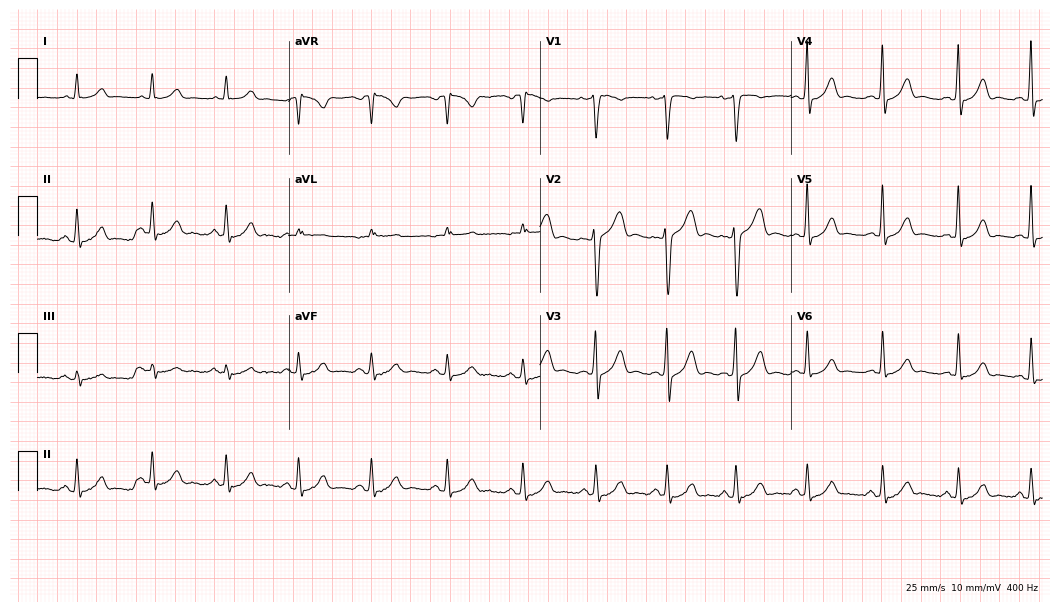
ECG (10.2-second recording at 400 Hz) — a woman, 39 years old. Labelled as a normal ECG.